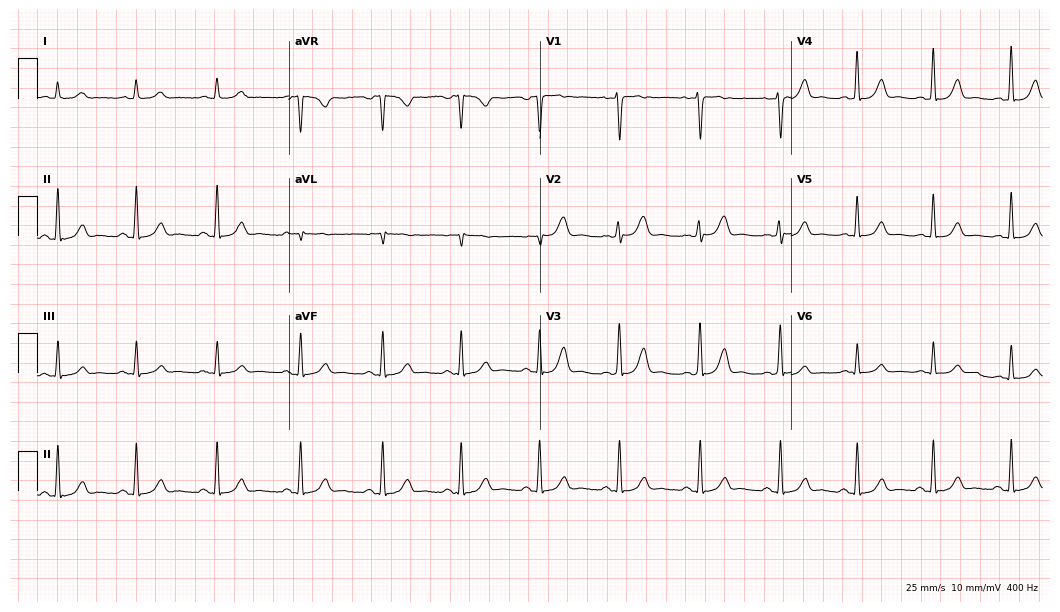
Resting 12-lead electrocardiogram. Patient: a female, 33 years old. None of these six findings is recorded: first-degree AV block, right bundle branch block, left bundle branch block, sinus bradycardia, atrial fibrillation, sinus tachycardia. Only these six findings were labelled.